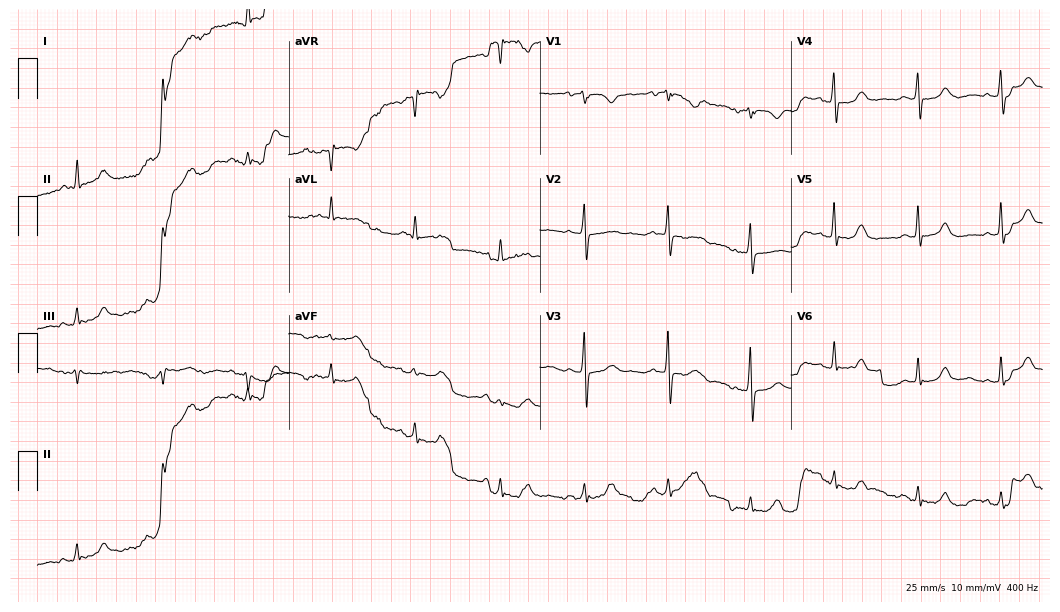
12-lead ECG from a female, 74 years old. Screened for six findings — first-degree AV block, right bundle branch block, left bundle branch block, sinus bradycardia, atrial fibrillation, sinus tachycardia — none is recorded.